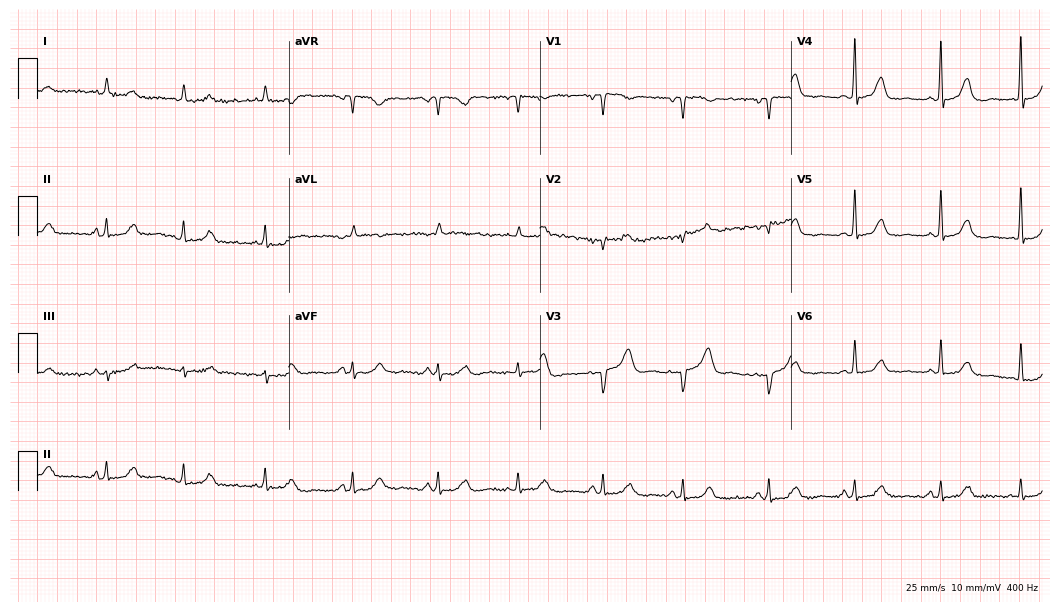
ECG — a 78-year-old female patient. Screened for six findings — first-degree AV block, right bundle branch block (RBBB), left bundle branch block (LBBB), sinus bradycardia, atrial fibrillation (AF), sinus tachycardia — none is recorded.